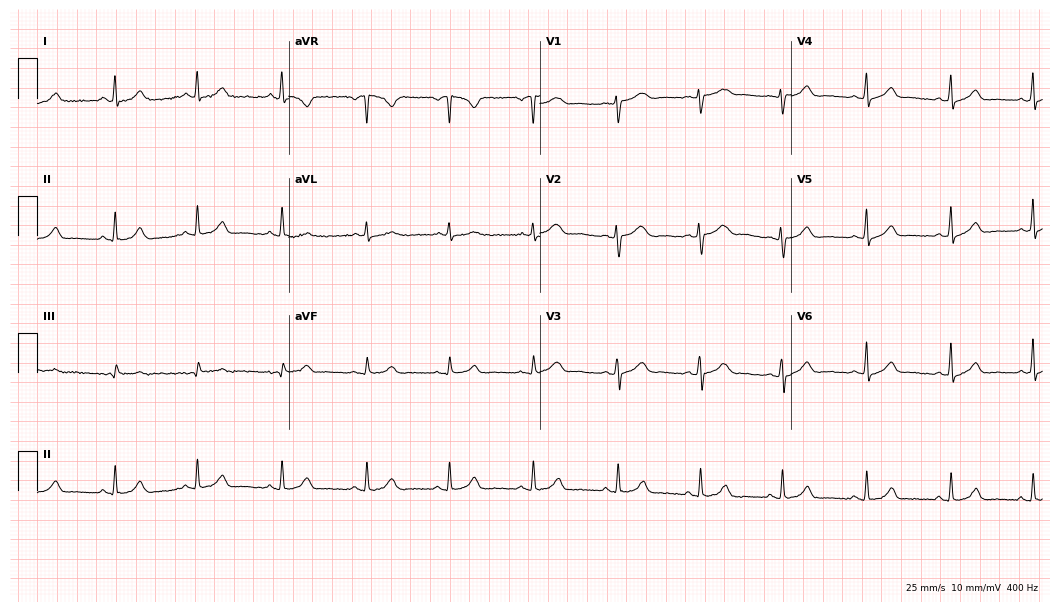
ECG — a female, 27 years old. Labelled as a normal ECG.